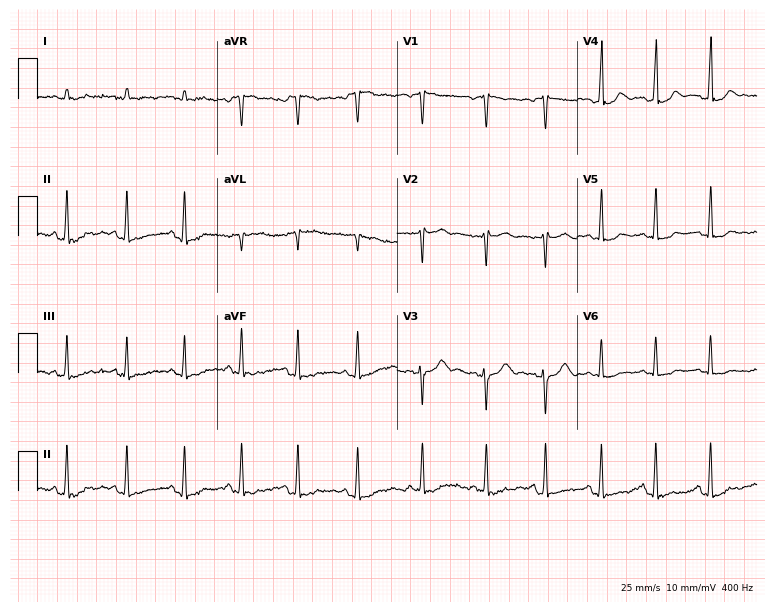
ECG (7.3-second recording at 400 Hz) — a 33-year-old female patient. Findings include sinus tachycardia (a sinus rate of 100 beats per minute or more).